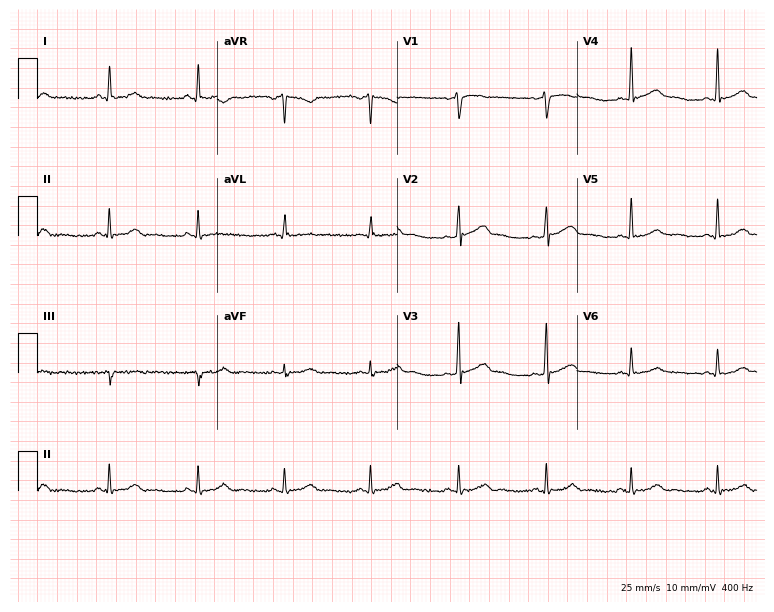
12-lead ECG from a 51-year-old male. Recorded interpretation: within normal limits.